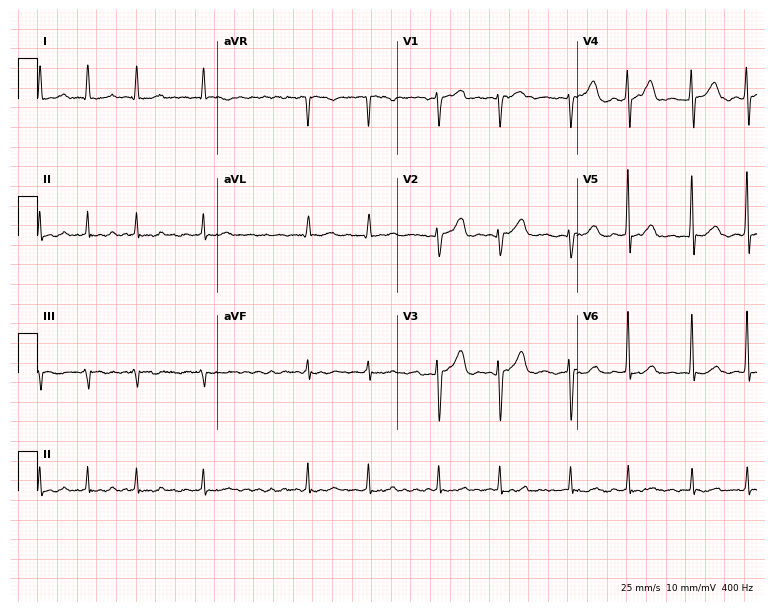
12-lead ECG (7.3-second recording at 400 Hz) from a 78-year-old female patient. Findings include atrial fibrillation (AF).